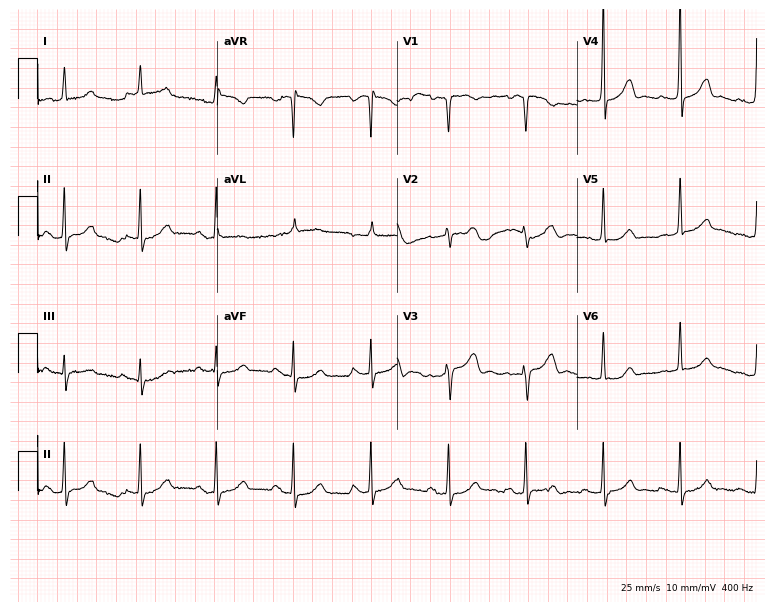
12-lead ECG from an 81-year-old woman (7.3-second recording at 400 Hz). No first-degree AV block, right bundle branch block (RBBB), left bundle branch block (LBBB), sinus bradycardia, atrial fibrillation (AF) or sinus tachycardia recorded for this tracing.